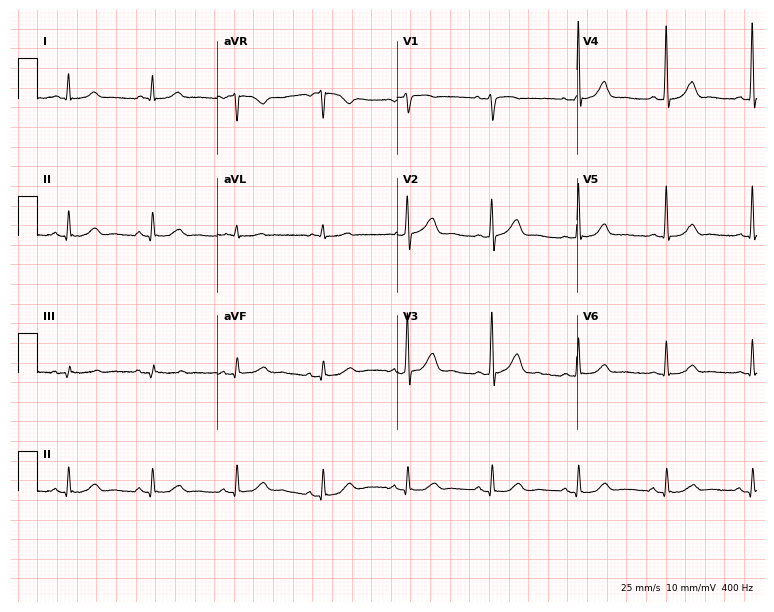
Standard 12-lead ECG recorded from a woman, 65 years old (7.3-second recording at 400 Hz). Read as a normal ECG.